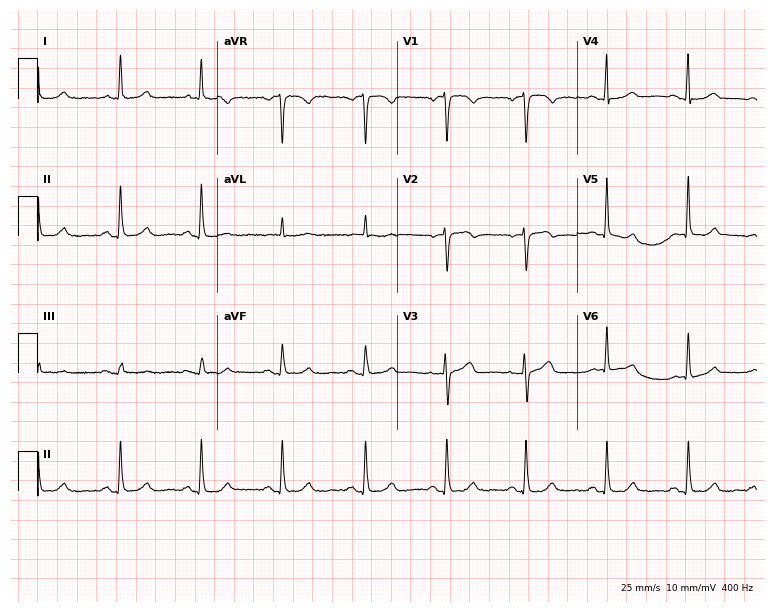
Resting 12-lead electrocardiogram. Patient: a 69-year-old woman. None of these six findings is recorded: first-degree AV block, right bundle branch block (RBBB), left bundle branch block (LBBB), sinus bradycardia, atrial fibrillation (AF), sinus tachycardia. Other findings, if any, are not listed.